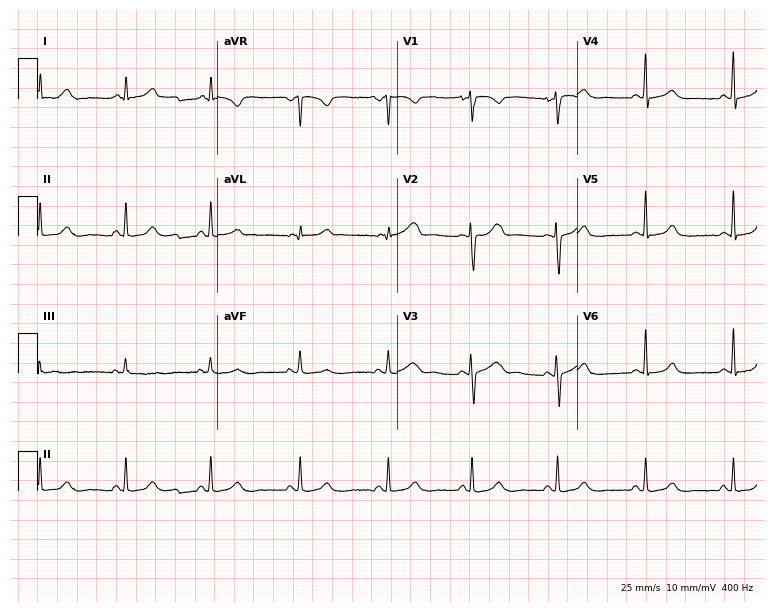
ECG (7.3-second recording at 400 Hz) — a 29-year-old female patient. Labelled as a normal ECG.